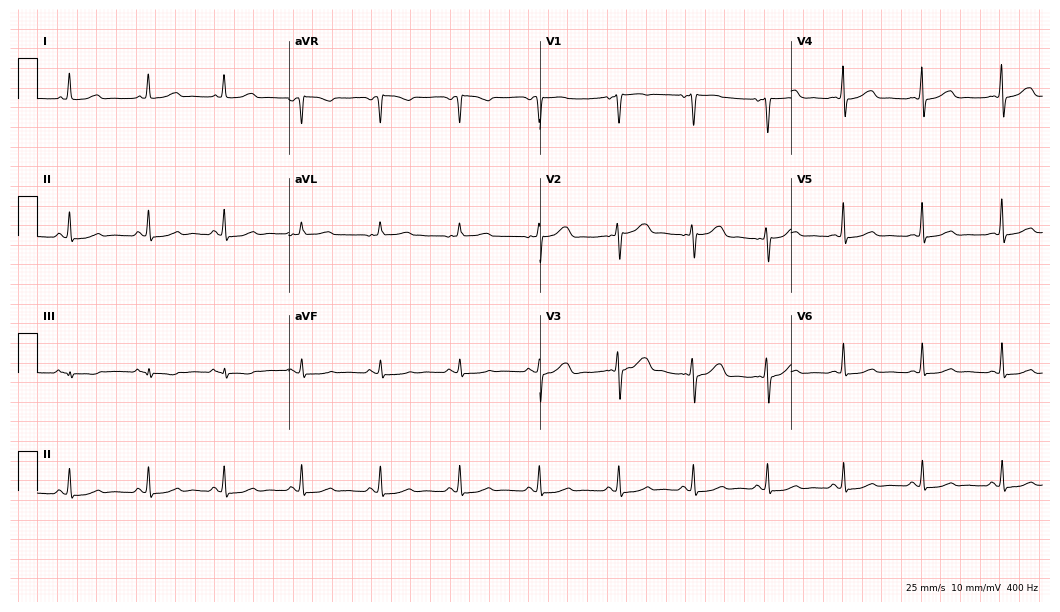
12-lead ECG from a 43-year-old female (10.2-second recording at 400 Hz). Recorded interpretation: within normal limits.